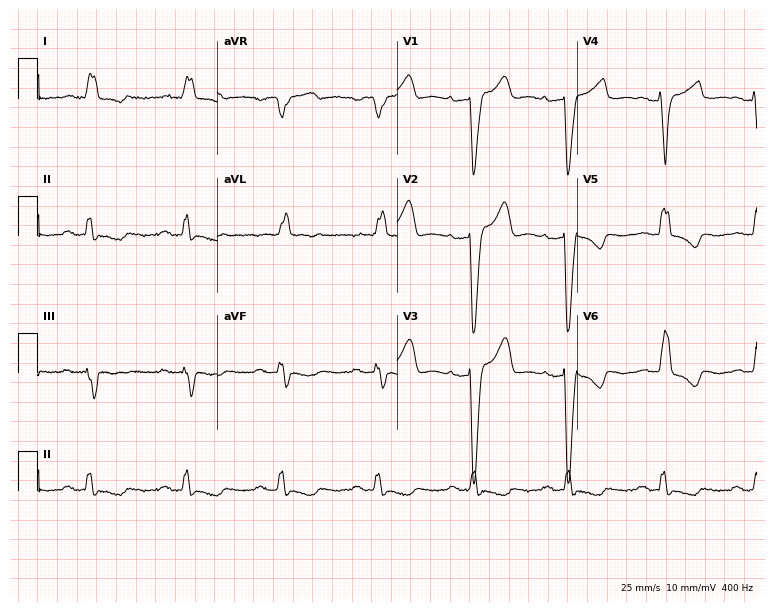
Resting 12-lead electrocardiogram. Patient: a 77-year-old woman. The tracing shows left bundle branch block (LBBB).